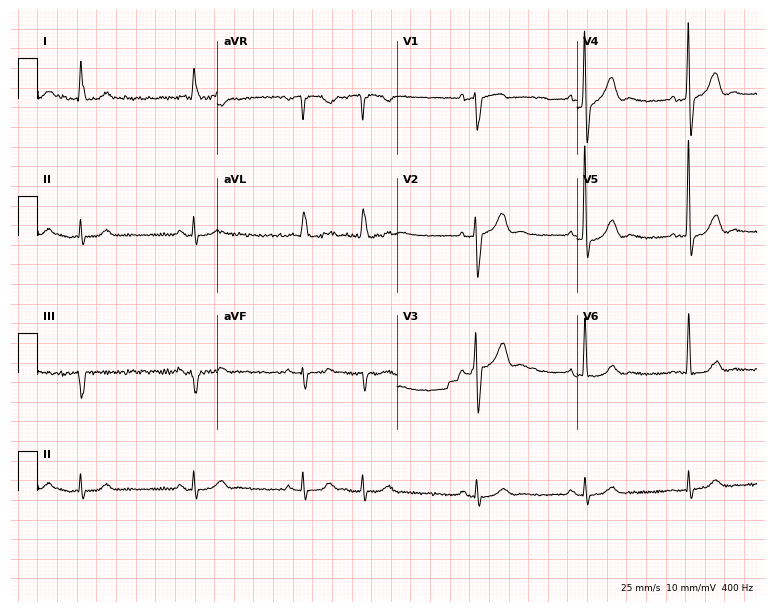
Resting 12-lead electrocardiogram (7.3-second recording at 400 Hz). Patient: an 80-year-old male. None of these six findings is recorded: first-degree AV block, right bundle branch block, left bundle branch block, sinus bradycardia, atrial fibrillation, sinus tachycardia.